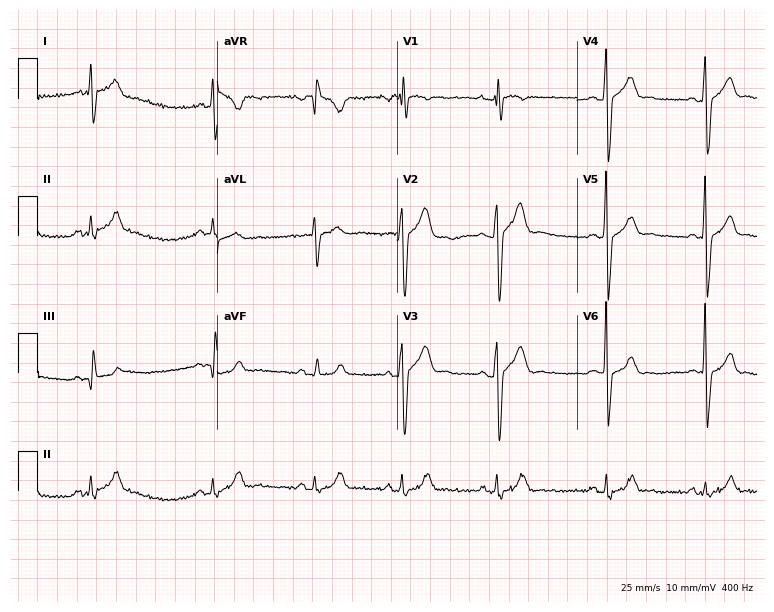
Resting 12-lead electrocardiogram (7.3-second recording at 400 Hz). Patient: a 28-year-old male. None of these six findings is recorded: first-degree AV block, right bundle branch block, left bundle branch block, sinus bradycardia, atrial fibrillation, sinus tachycardia. Only these six findings were labelled.